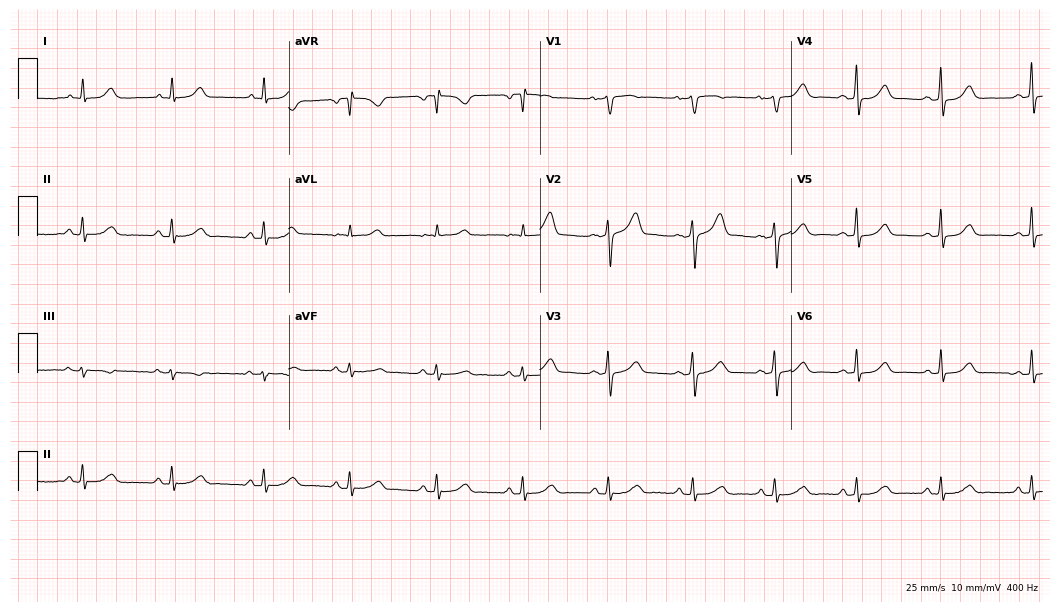
Electrocardiogram, a 51-year-old woman. Overall reading on record: normal ECG.